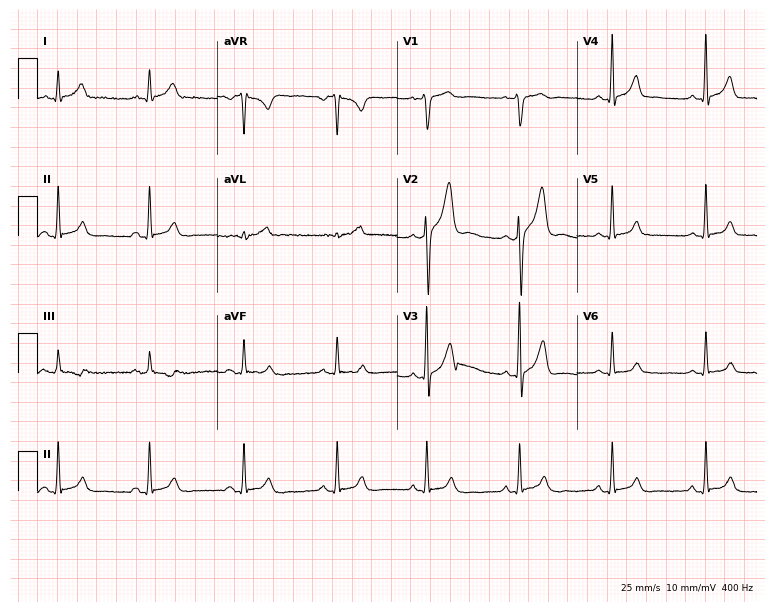
12-lead ECG (7.3-second recording at 400 Hz) from a man, 33 years old. Labelled as a normal ECG.